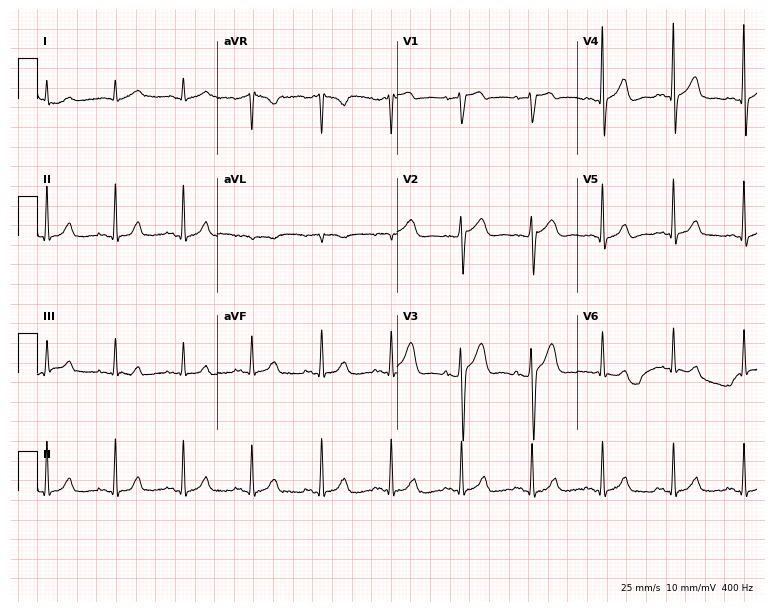
Standard 12-lead ECG recorded from an 84-year-old man (7.3-second recording at 400 Hz). Read as a normal ECG.